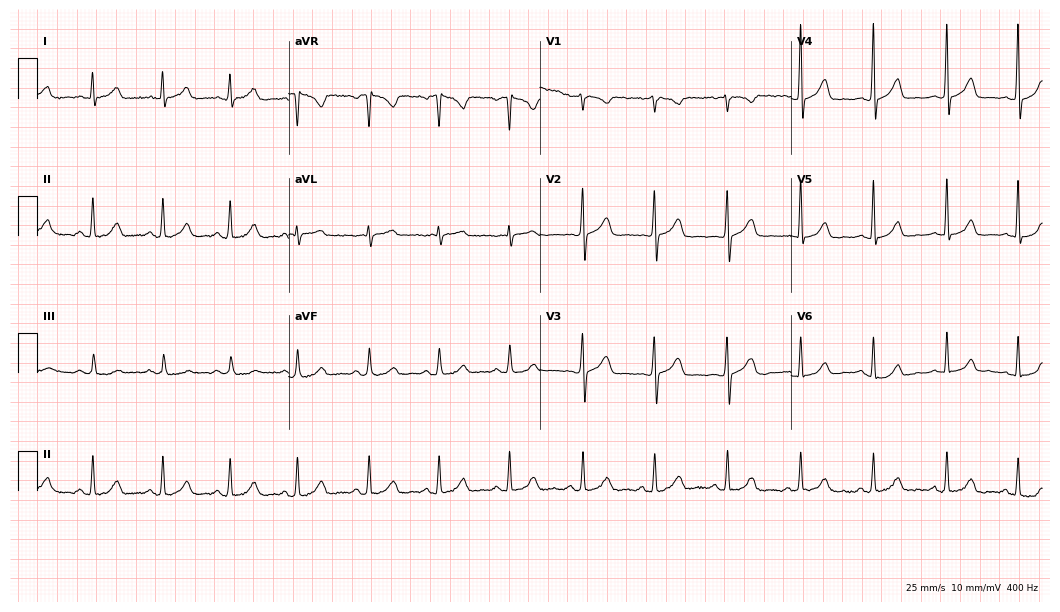
12-lead ECG from a 30-year-old female patient. Labelled as a normal ECG.